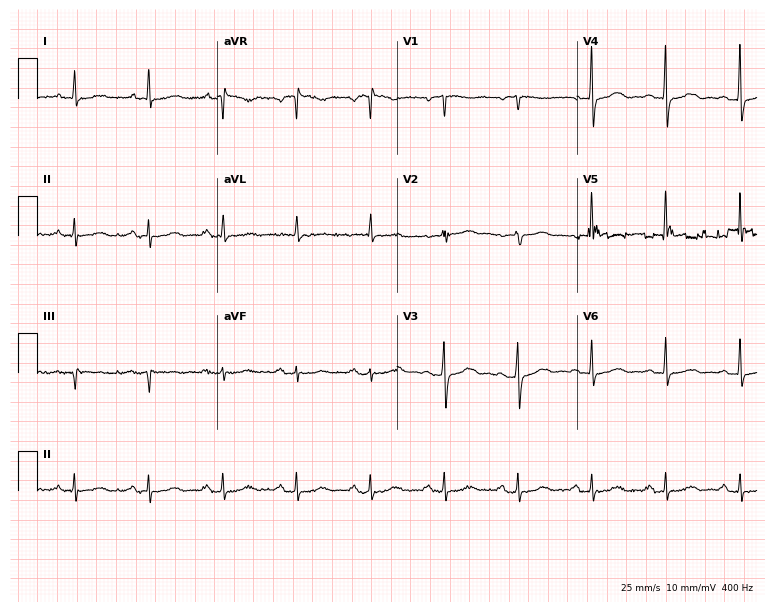
Standard 12-lead ECG recorded from a female patient, 80 years old. None of these six findings is recorded: first-degree AV block, right bundle branch block, left bundle branch block, sinus bradycardia, atrial fibrillation, sinus tachycardia.